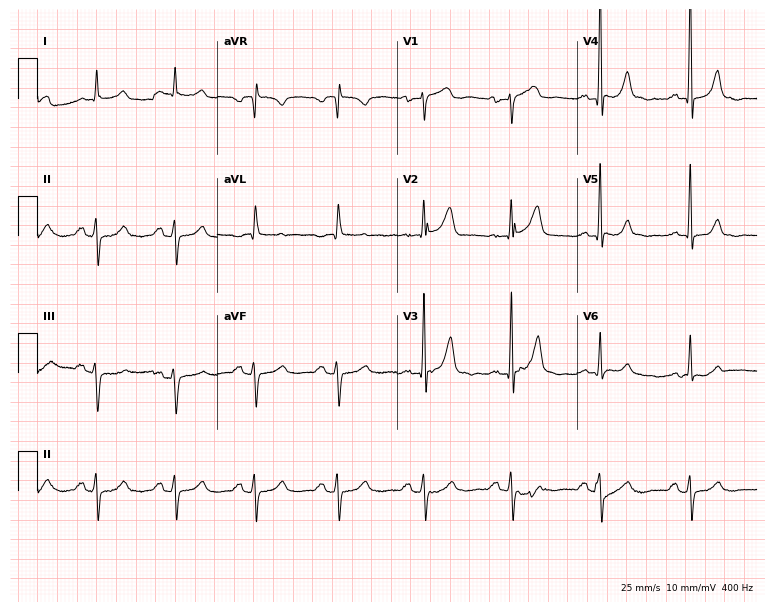
Resting 12-lead electrocardiogram. Patient: a female, 56 years old. None of these six findings is recorded: first-degree AV block, right bundle branch block, left bundle branch block, sinus bradycardia, atrial fibrillation, sinus tachycardia. Other findings, if any, are not listed.